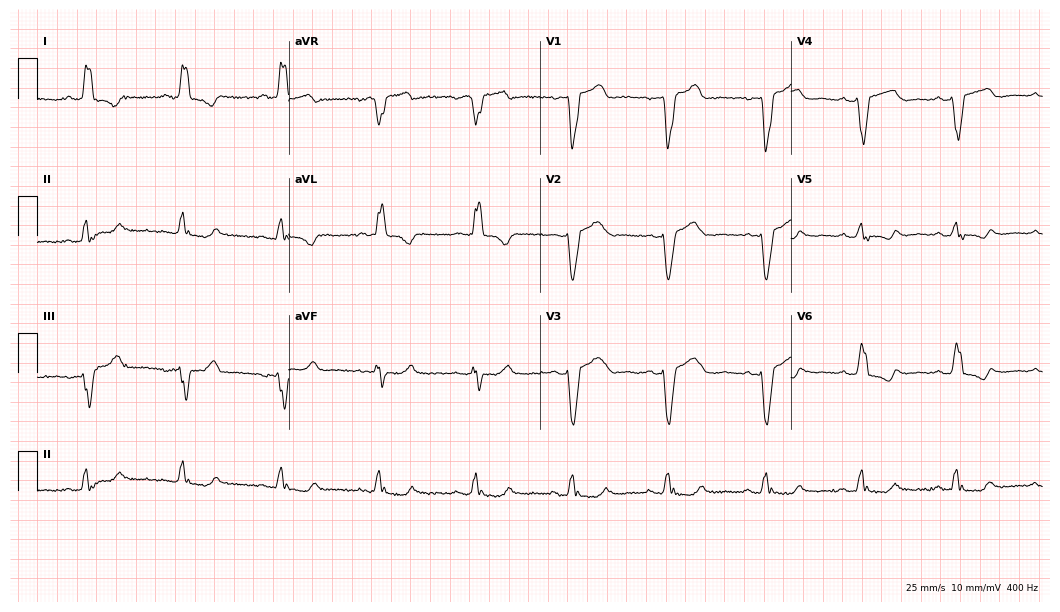
Resting 12-lead electrocardiogram (10.2-second recording at 400 Hz). Patient: a 59-year-old female. The tracing shows left bundle branch block.